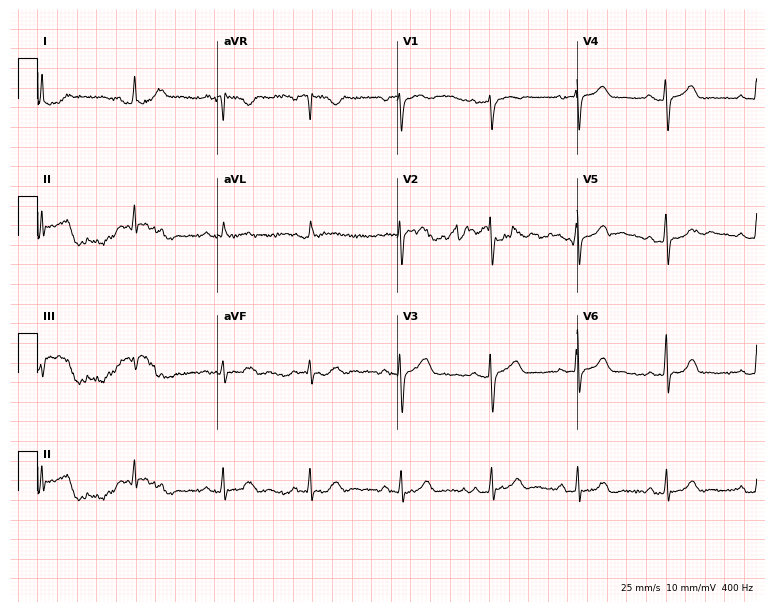
ECG (7.3-second recording at 400 Hz) — a woman, 55 years old. Labelled as a normal ECG.